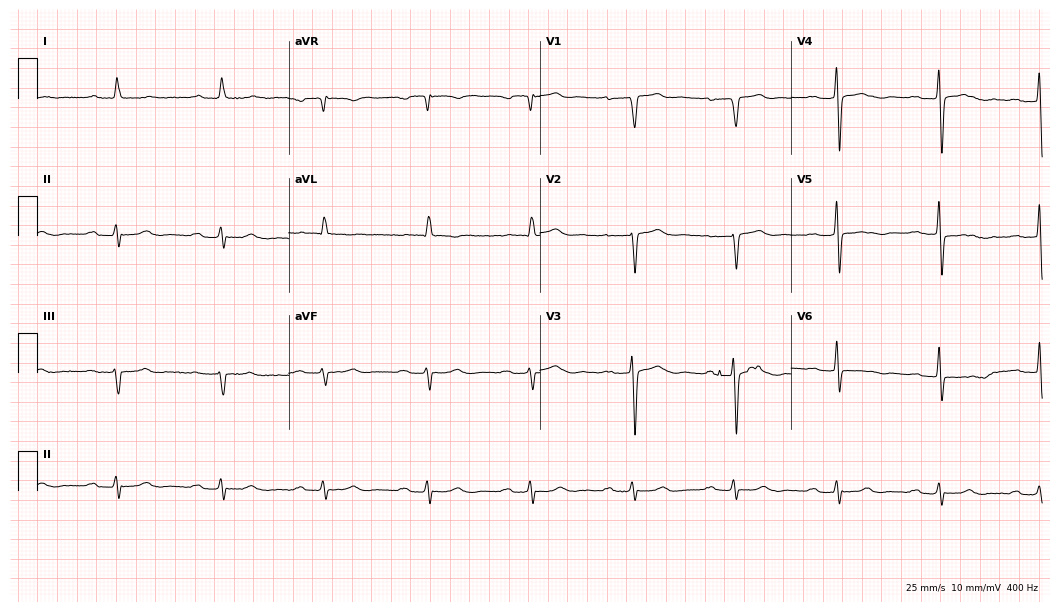
Standard 12-lead ECG recorded from a man, 75 years old (10.2-second recording at 400 Hz). The tracing shows first-degree AV block.